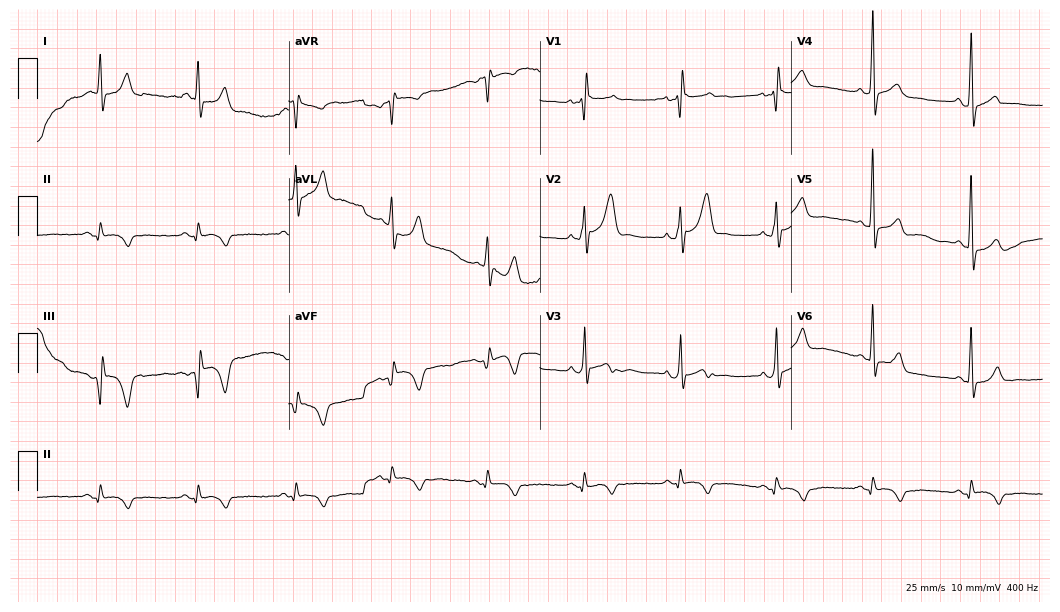
Electrocardiogram (10.2-second recording at 400 Hz), a male patient, 45 years old. Of the six screened findings (first-degree AV block, right bundle branch block, left bundle branch block, sinus bradycardia, atrial fibrillation, sinus tachycardia), none is recorded. Other findings, if any, are not listed.